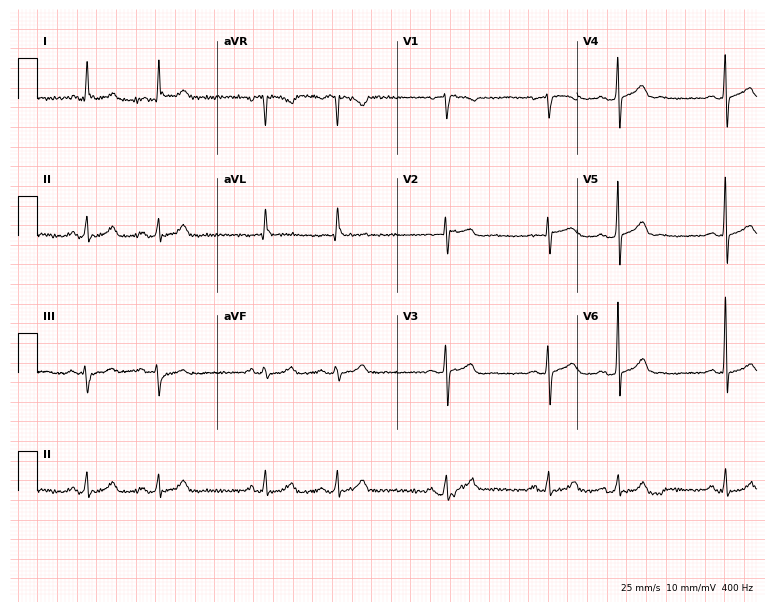
ECG — a 71-year-old female patient. Screened for six findings — first-degree AV block, right bundle branch block (RBBB), left bundle branch block (LBBB), sinus bradycardia, atrial fibrillation (AF), sinus tachycardia — none is recorded. Other findings, if any, are not listed.